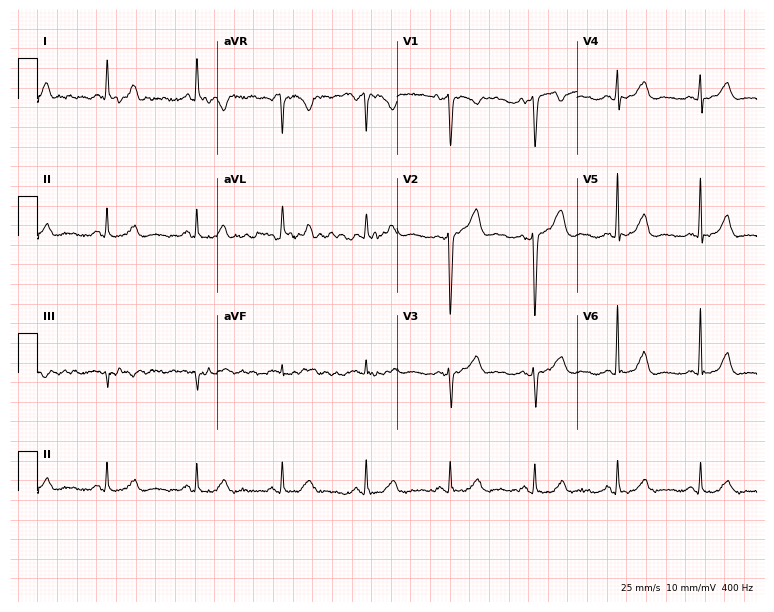
12-lead ECG (7.3-second recording at 400 Hz) from a female patient, 79 years old. Labelled as a normal ECG.